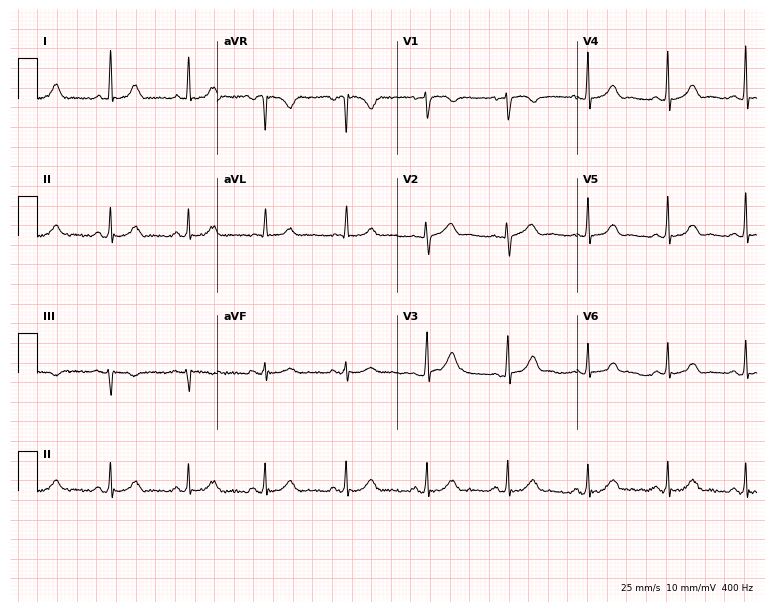
Electrocardiogram, a woman, 60 years old. Overall reading on record: normal ECG.